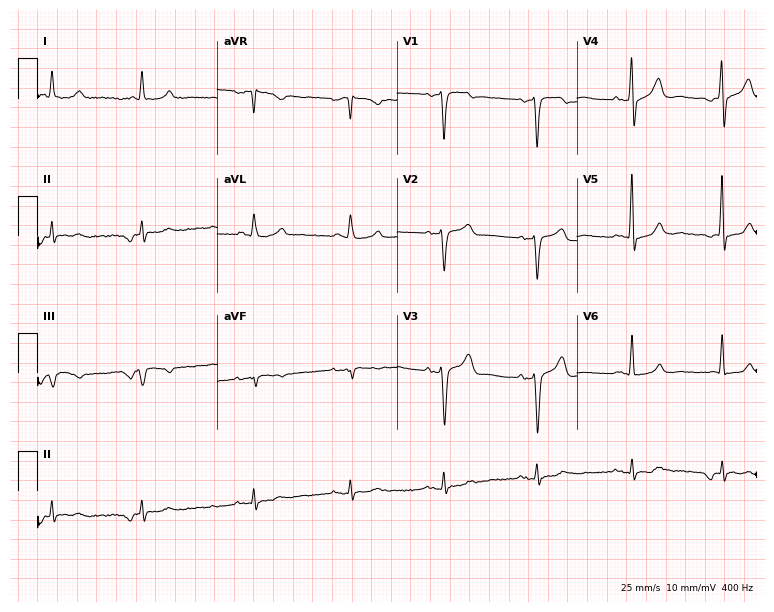
Electrocardiogram (7.3-second recording at 400 Hz), a male, 57 years old. Of the six screened findings (first-degree AV block, right bundle branch block, left bundle branch block, sinus bradycardia, atrial fibrillation, sinus tachycardia), none is recorded.